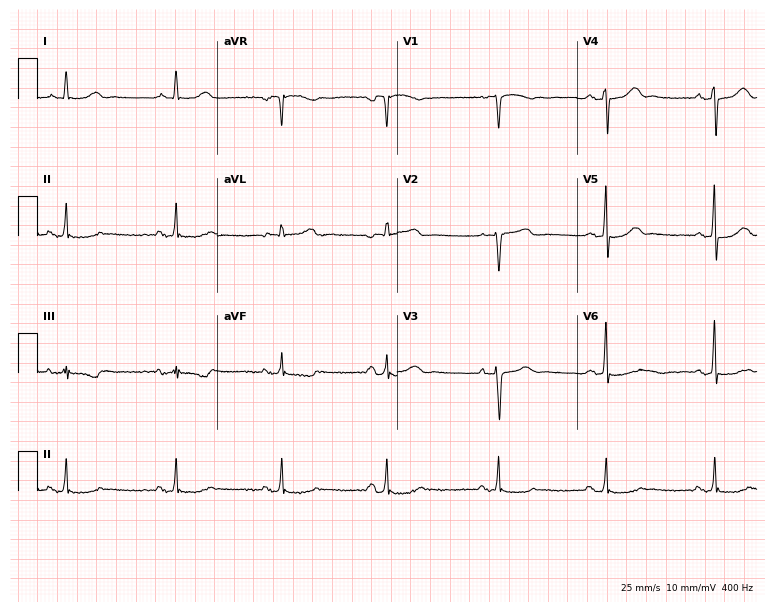
12-lead ECG (7.3-second recording at 400 Hz) from a woman, 63 years old. Screened for six findings — first-degree AV block, right bundle branch block, left bundle branch block, sinus bradycardia, atrial fibrillation, sinus tachycardia — none is recorded.